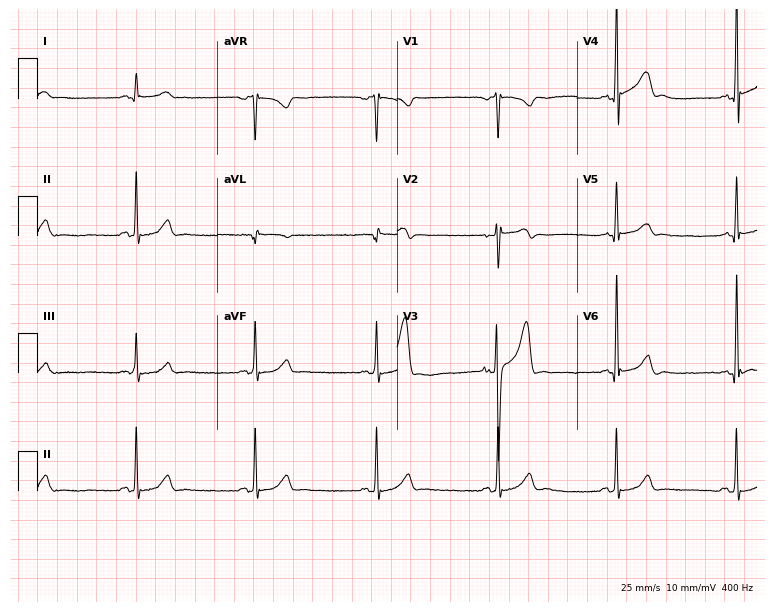
ECG (7.3-second recording at 400 Hz) — a 58-year-old male. Screened for six findings — first-degree AV block, right bundle branch block, left bundle branch block, sinus bradycardia, atrial fibrillation, sinus tachycardia — none is recorded.